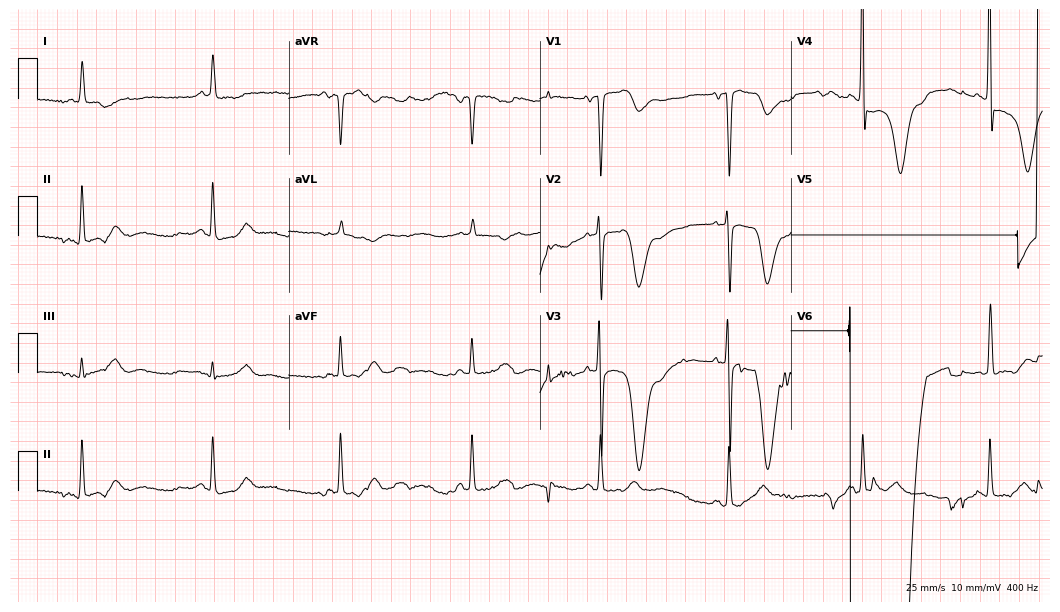
Electrocardiogram, a man, 76 years old. Of the six screened findings (first-degree AV block, right bundle branch block, left bundle branch block, sinus bradycardia, atrial fibrillation, sinus tachycardia), none is recorded. Only these six findings were labelled.